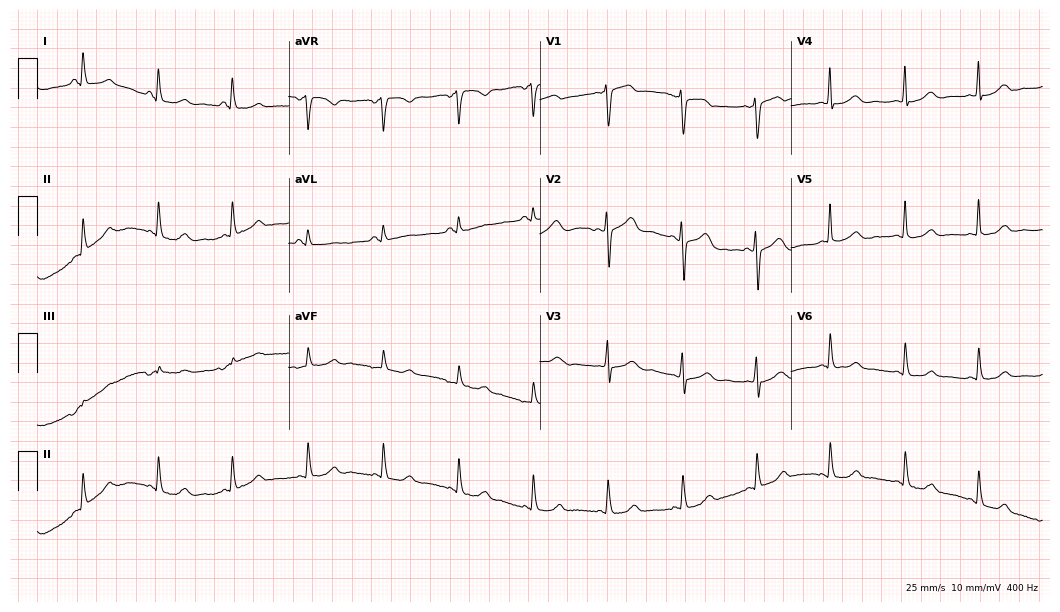
12-lead ECG from a woman, 53 years old. Screened for six findings — first-degree AV block, right bundle branch block, left bundle branch block, sinus bradycardia, atrial fibrillation, sinus tachycardia — none is recorded.